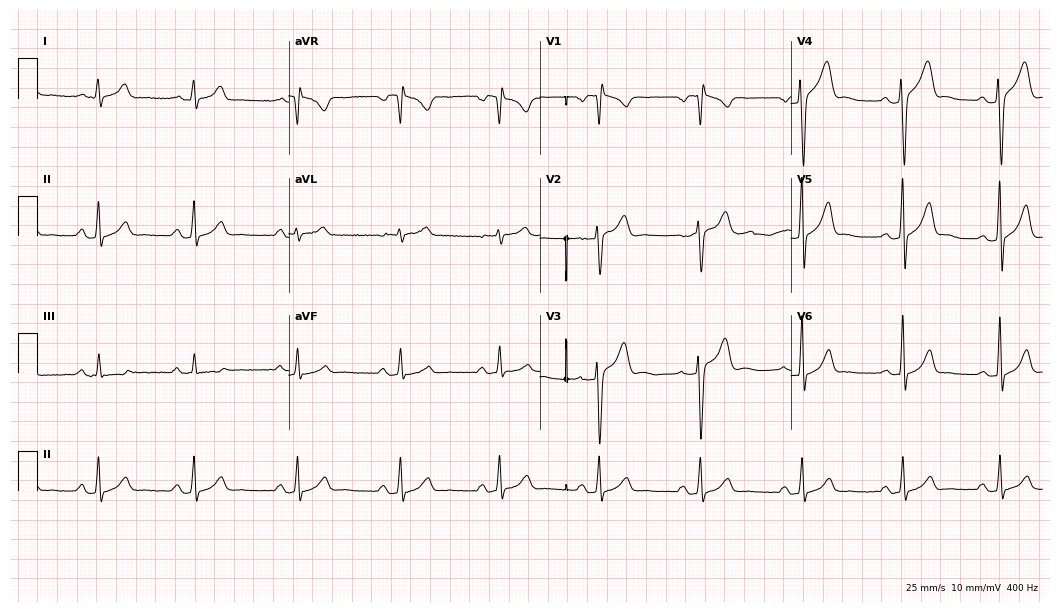
12-lead ECG from a male, 35 years old. No first-degree AV block, right bundle branch block (RBBB), left bundle branch block (LBBB), sinus bradycardia, atrial fibrillation (AF) or sinus tachycardia recorded for this tracing.